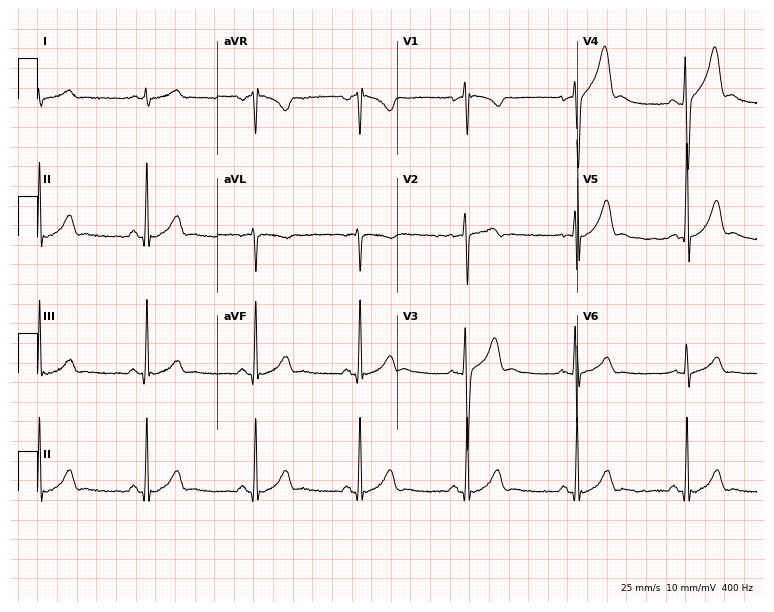
12-lead ECG from a 34-year-old man. No first-degree AV block, right bundle branch block, left bundle branch block, sinus bradycardia, atrial fibrillation or sinus tachycardia recorded for this tracing. Other findings, if any, are not listed.